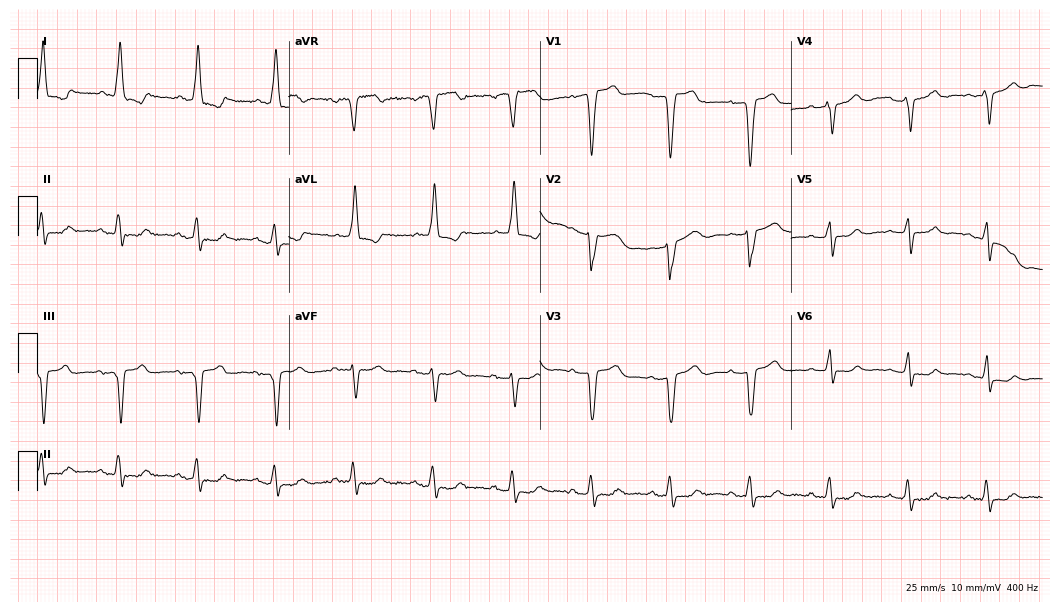
ECG (10.2-second recording at 400 Hz) — a 78-year-old woman. Screened for six findings — first-degree AV block, right bundle branch block (RBBB), left bundle branch block (LBBB), sinus bradycardia, atrial fibrillation (AF), sinus tachycardia — none is recorded.